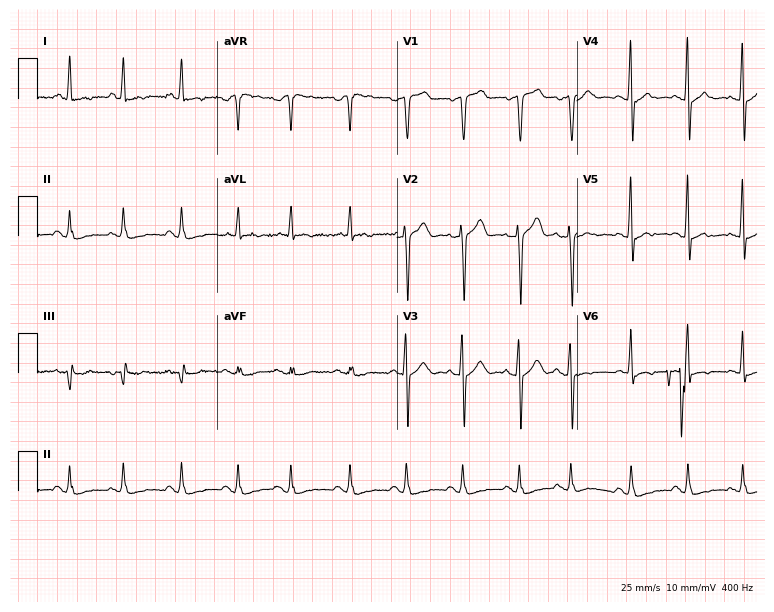
12-lead ECG from a 73-year-old male. Shows sinus tachycardia (a sinus rate of 100 beats per minute or more).